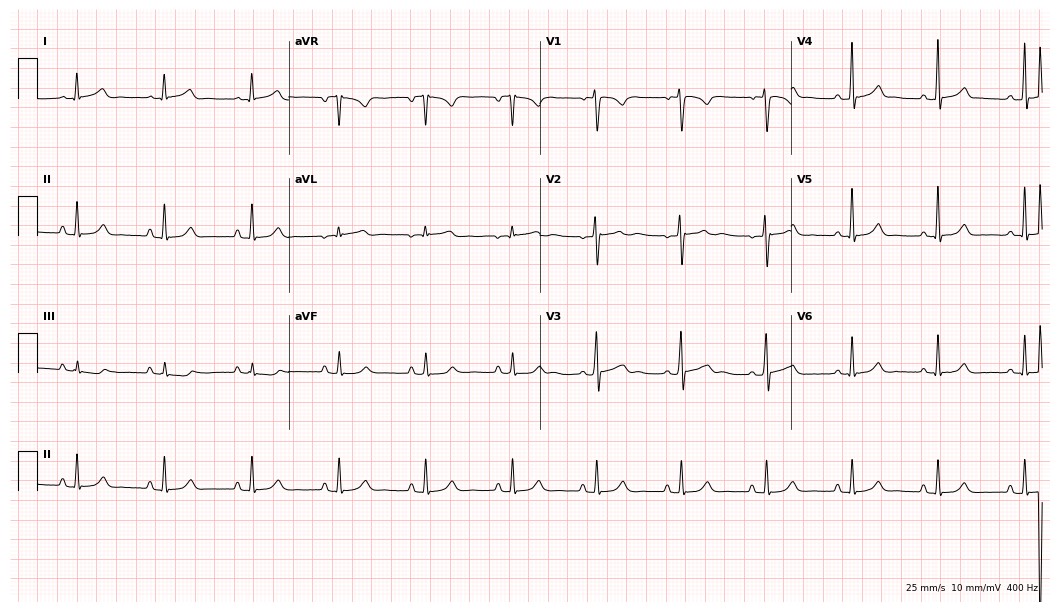
ECG (10.2-second recording at 400 Hz) — a male, 27 years old. Labelled as a normal ECG.